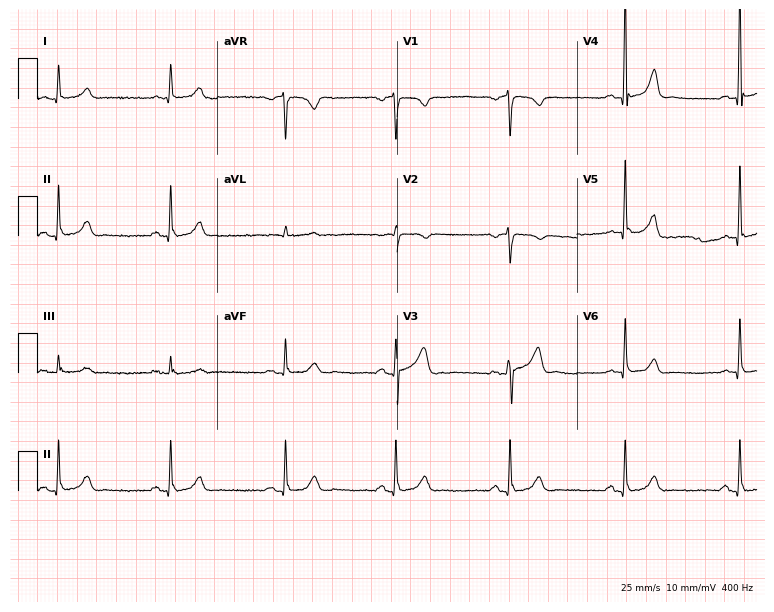
12-lead ECG from a 74-year-old male (7.3-second recording at 400 Hz). Recorded interpretation: within normal limits.